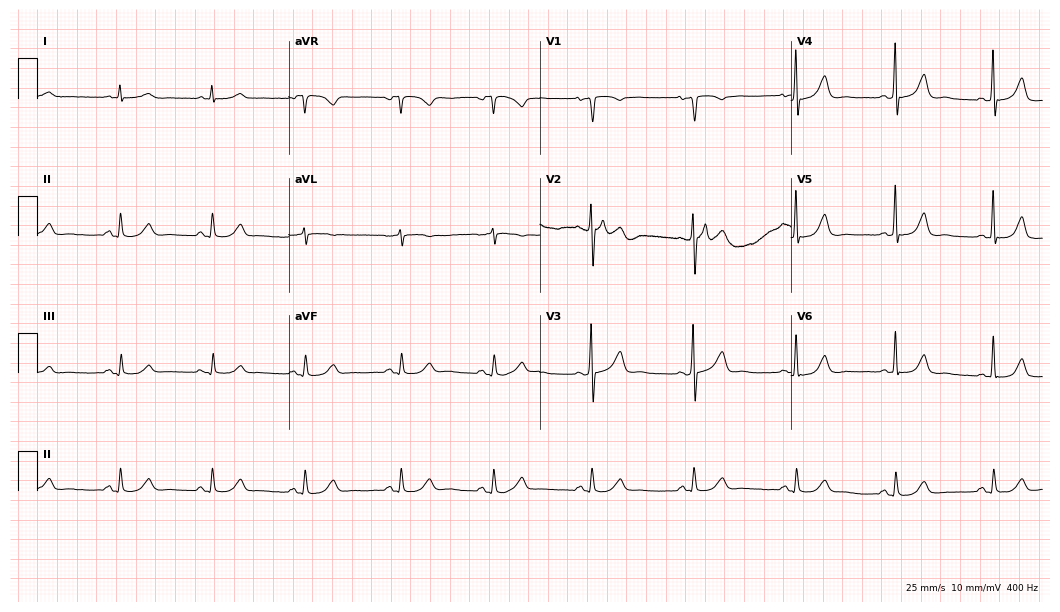
Electrocardiogram, a 60-year-old male. Overall reading on record: normal ECG.